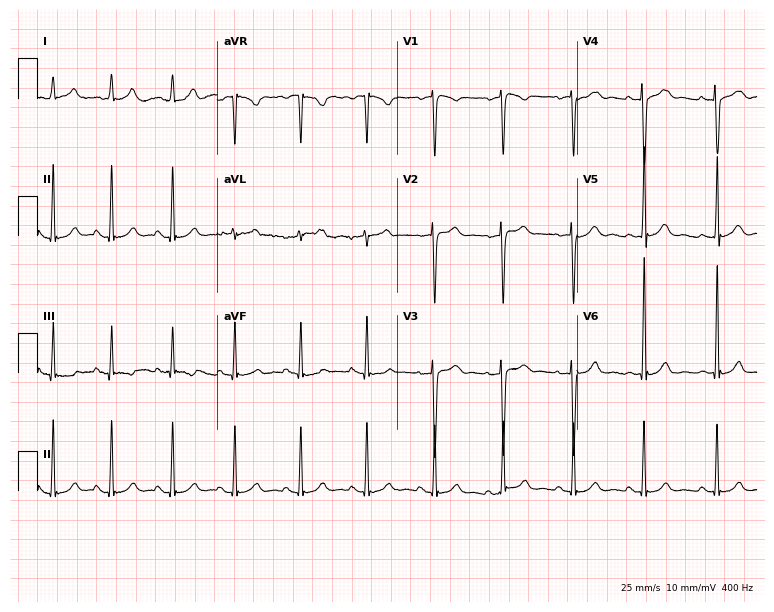
ECG — a female, 27 years old. Screened for six findings — first-degree AV block, right bundle branch block, left bundle branch block, sinus bradycardia, atrial fibrillation, sinus tachycardia — none is recorded.